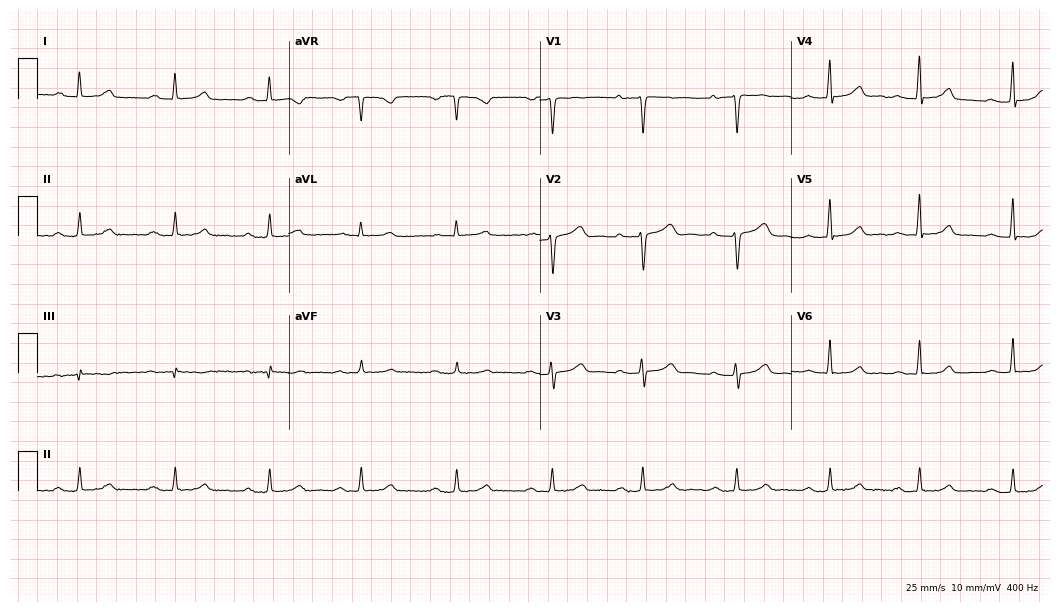
ECG (10.2-second recording at 400 Hz) — a 45-year-old woman. Labelled as a normal ECG.